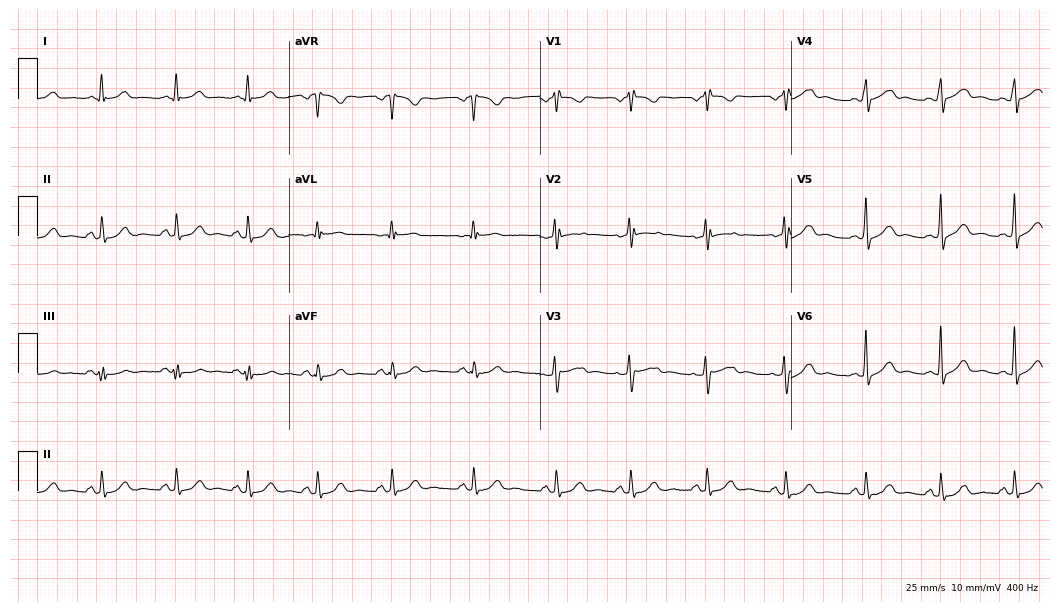
ECG — a 26-year-old female. Labelled as a normal ECG.